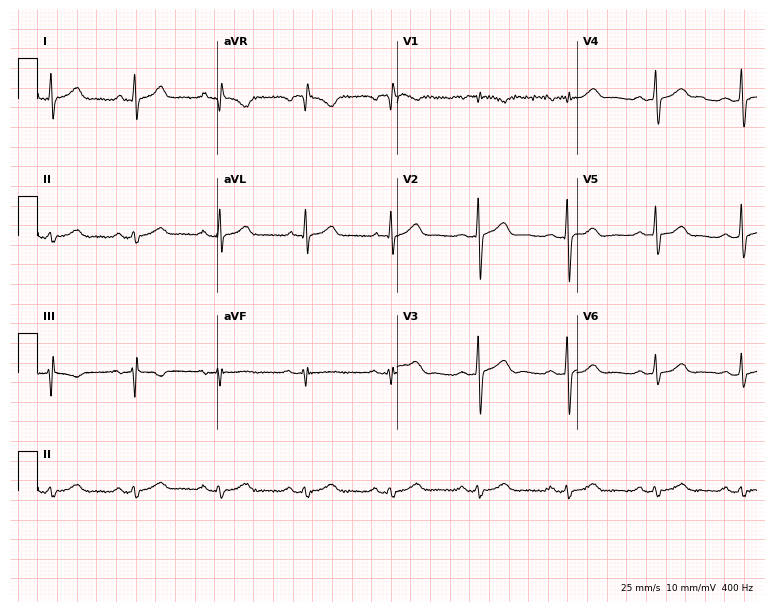
Resting 12-lead electrocardiogram. Patient: a 48-year-old man. None of these six findings is recorded: first-degree AV block, right bundle branch block (RBBB), left bundle branch block (LBBB), sinus bradycardia, atrial fibrillation (AF), sinus tachycardia.